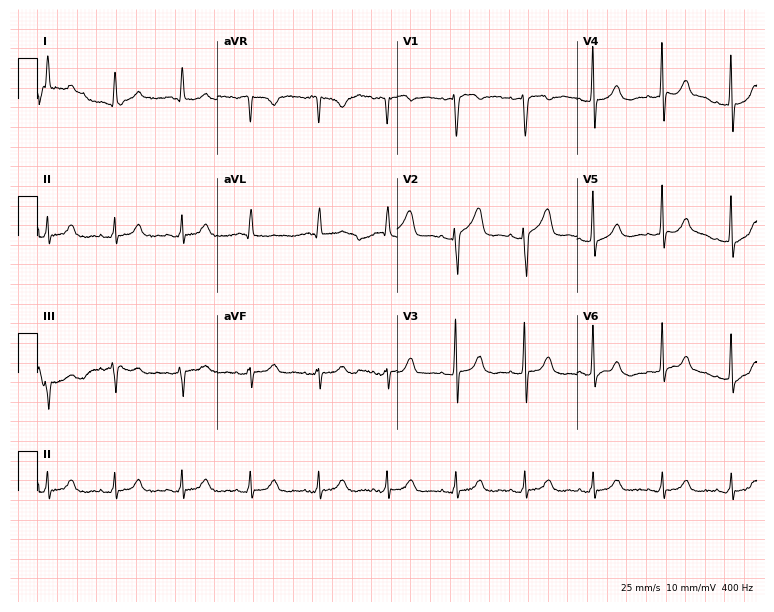
12-lead ECG (7.3-second recording at 400 Hz) from a female, 85 years old. Labelled as a normal ECG.